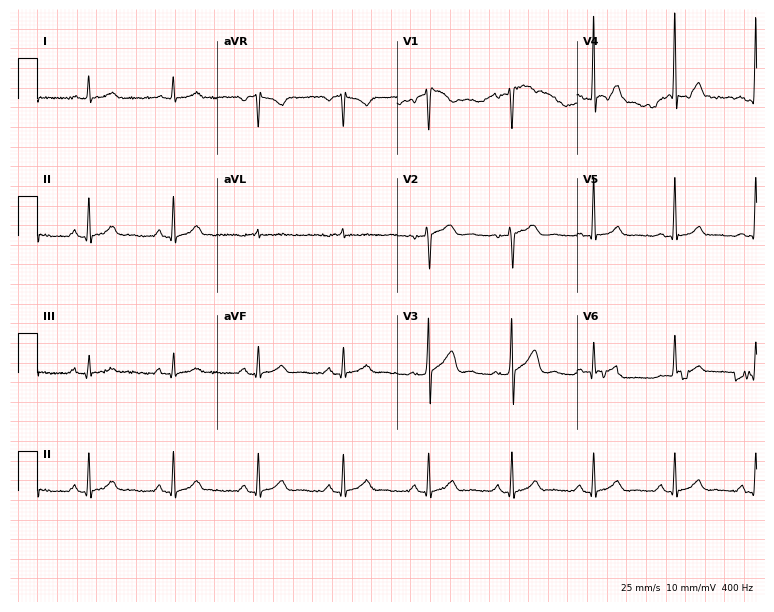
12-lead ECG from a 59-year-old male. Recorded interpretation: within normal limits.